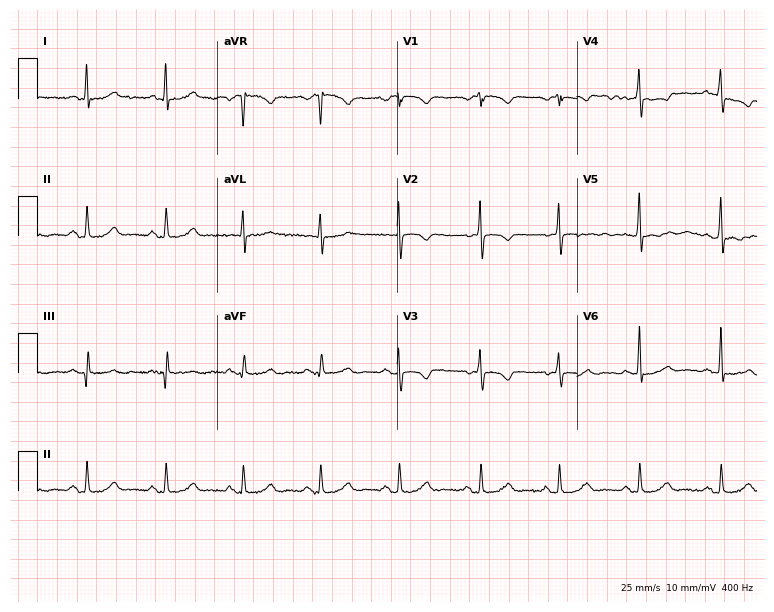
Electrocardiogram, a female patient, 65 years old. Of the six screened findings (first-degree AV block, right bundle branch block (RBBB), left bundle branch block (LBBB), sinus bradycardia, atrial fibrillation (AF), sinus tachycardia), none is recorded. Other findings, if any, are not listed.